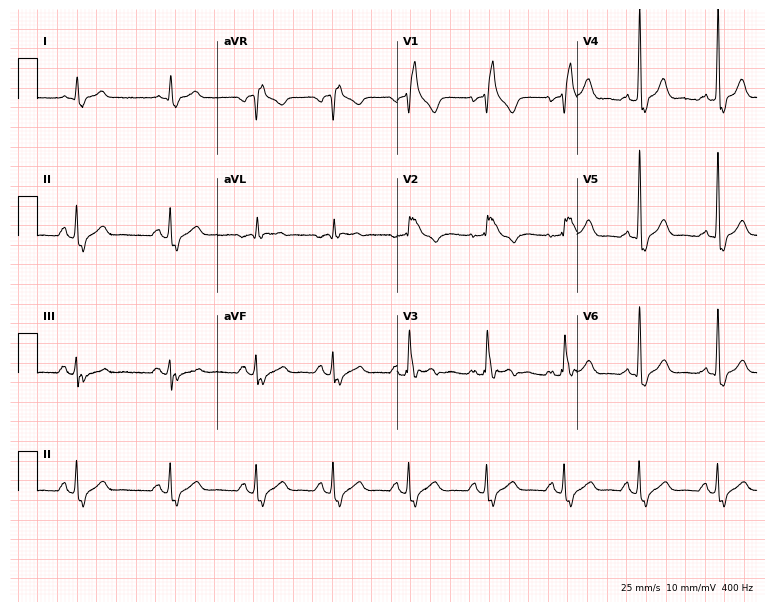
ECG (7.3-second recording at 400 Hz) — a male, 72 years old. Findings include right bundle branch block (RBBB).